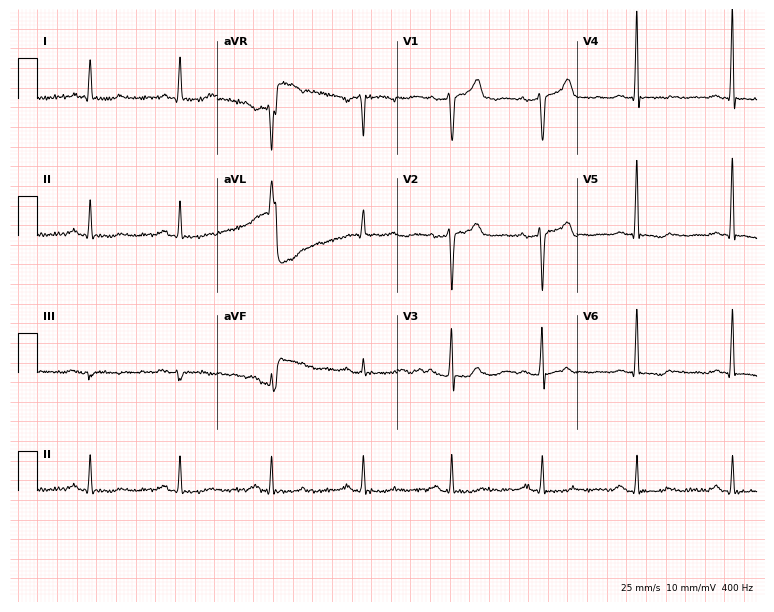
12-lead ECG from a woman, 51 years old (7.3-second recording at 400 Hz). No first-degree AV block, right bundle branch block, left bundle branch block, sinus bradycardia, atrial fibrillation or sinus tachycardia recorded for this tracing. Only these six findings were labelled.